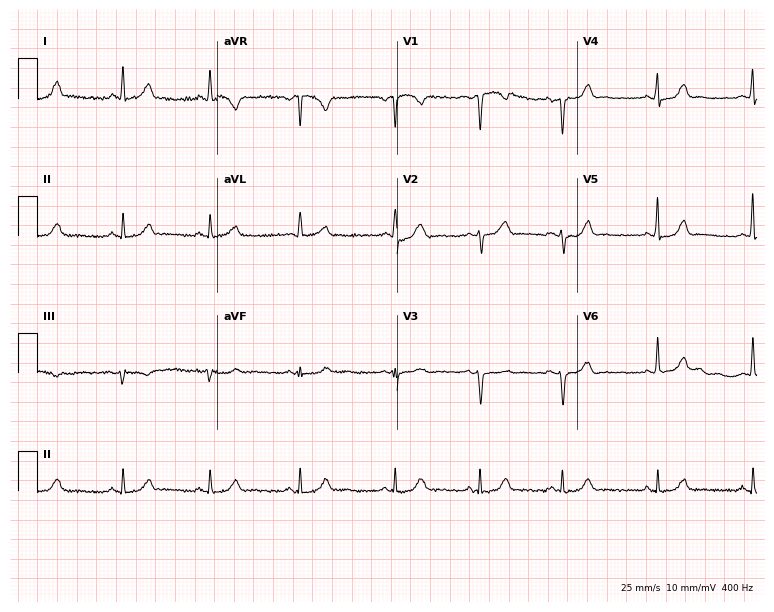
12-lead ECG from a 43-year-old female. No first-degree AV block, right bundle branch block, left bundle branch block, sinus bradycardia, atrial fibrillation or sinus tachycardia recorded for this tracing.